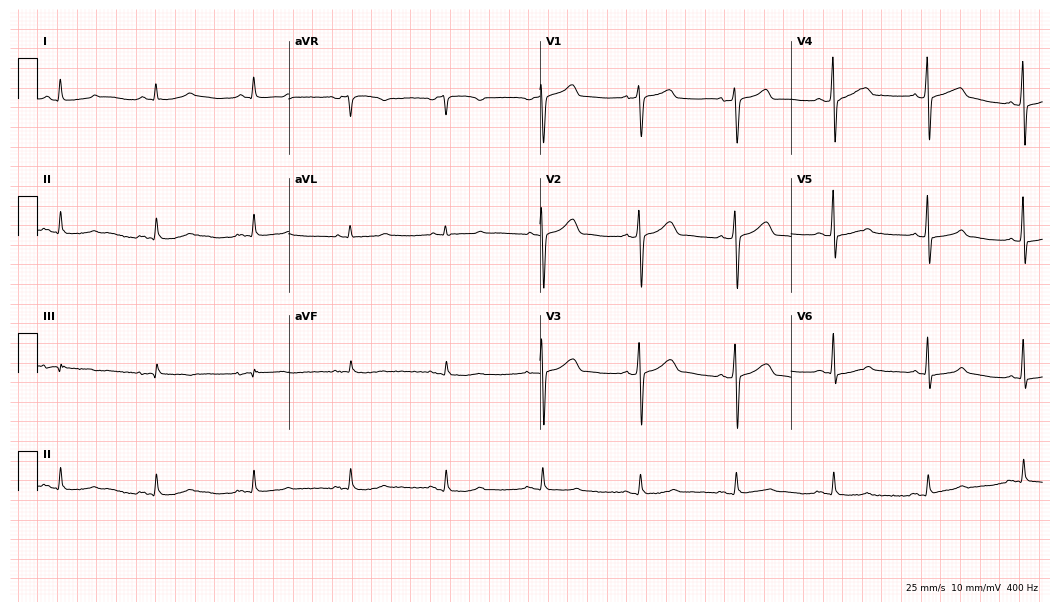
ECG (10.2-second recording at 400 Hz) — a male patient, 54 years old. Labelled as a normal ECG.